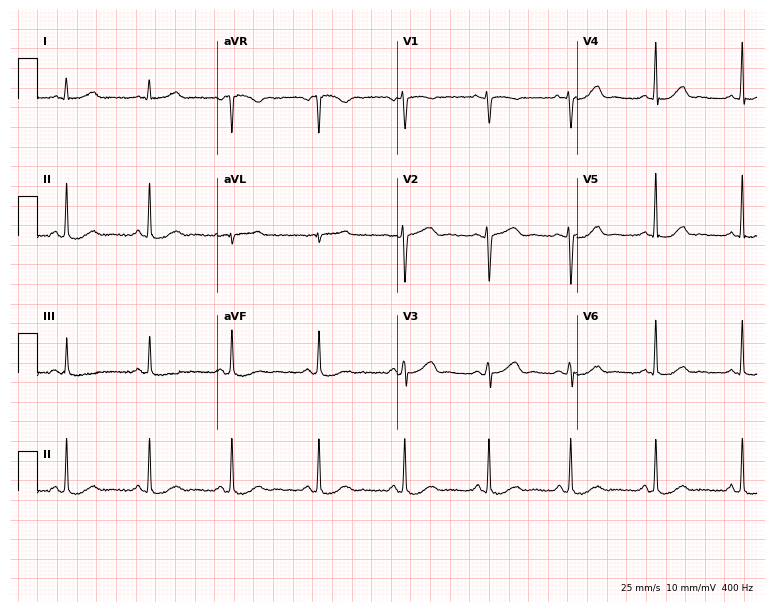
ECG (7.3-second recording at 400 Hz) — a 40-year-old female. Labelled as a normal ECG.